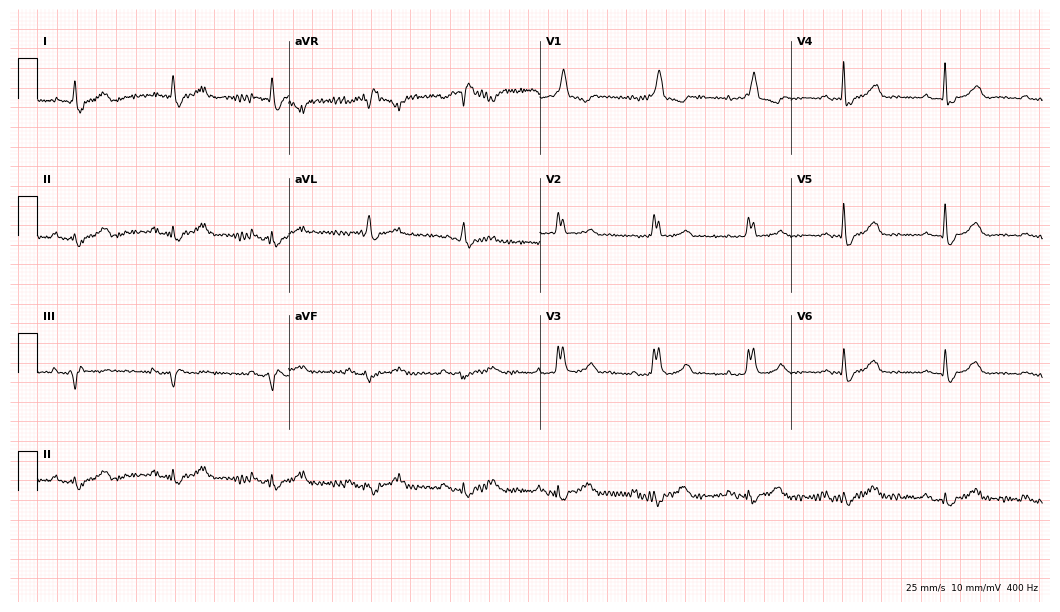
Electrocardiogram (10.2-second recording at 400 Hz), an 81-year-old female patient. Interpretation includes right bundle branch block.